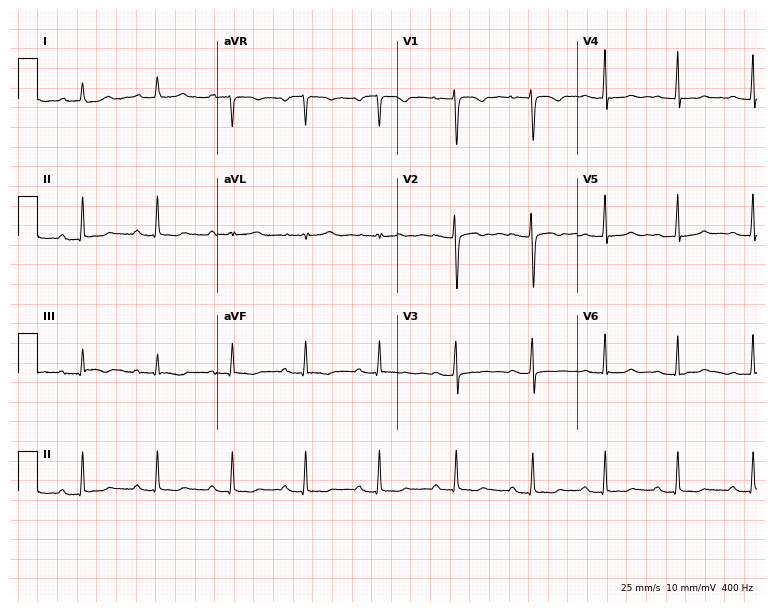
Resting 12-lead electrocardiogram. Patient: a 25-year-old woman. None of these six findings is recorded: first-degree AV block, right bundle branch block (RBBB), left bundle branch block (LBBB), sinus bradycardia, atrial fibrillation (AF), sinus tachycardia.